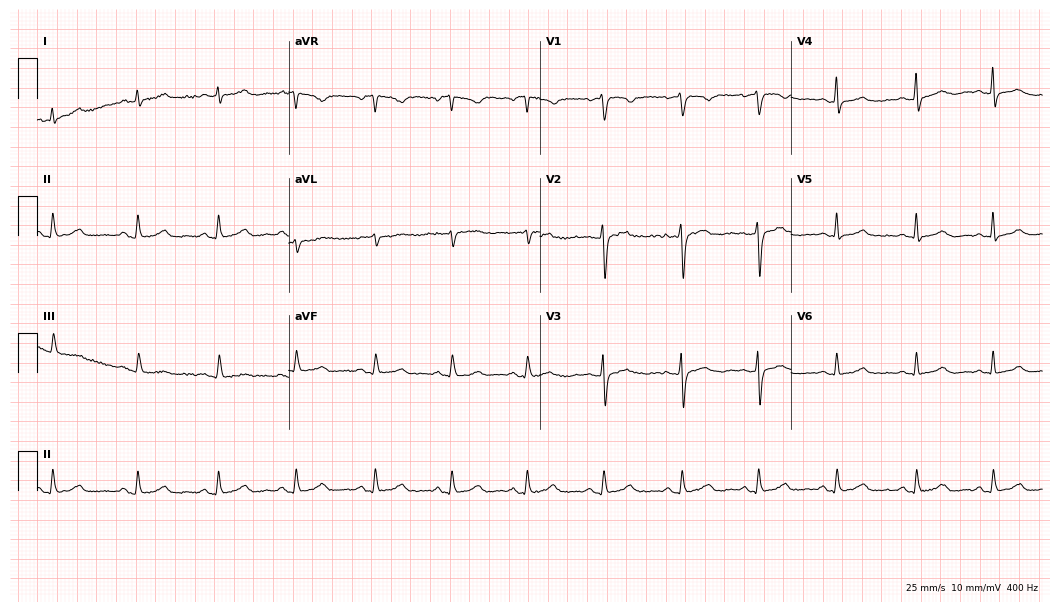
Standard 12-lead ECG recorded from a 45-year-old female. Read as a normal ECG.